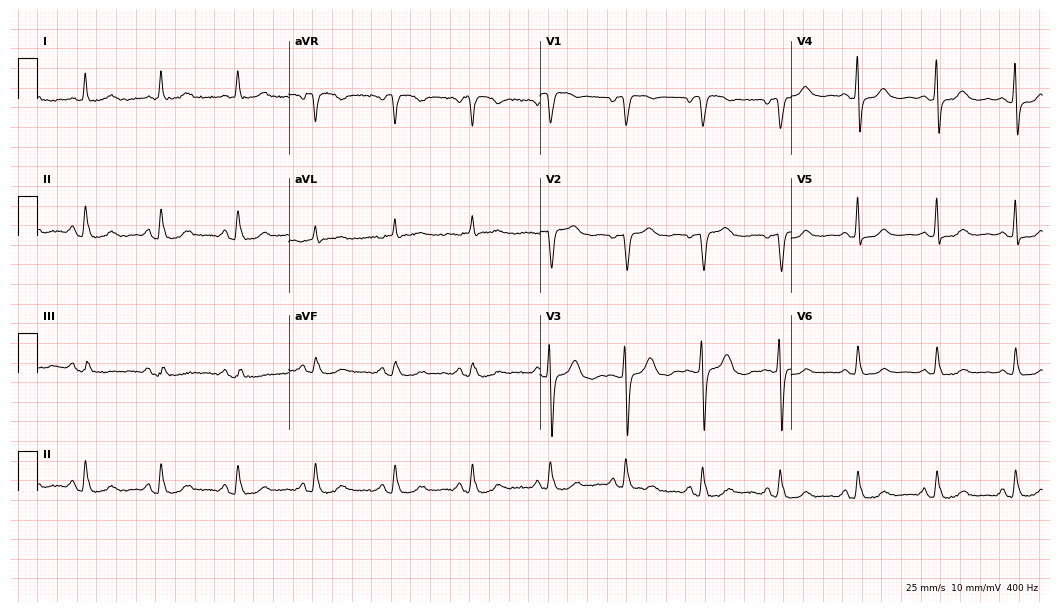
Standard 12-lead ECG recorded from a 76-year-old female. None of these six findings is recorded: first-degree AV block, right bundle branch block (RBBB), left bundle branch block (LBBB), sinus bradycardia, atrial fibrillation (AF), sinus tachycardia. Only these six findings were labelled.